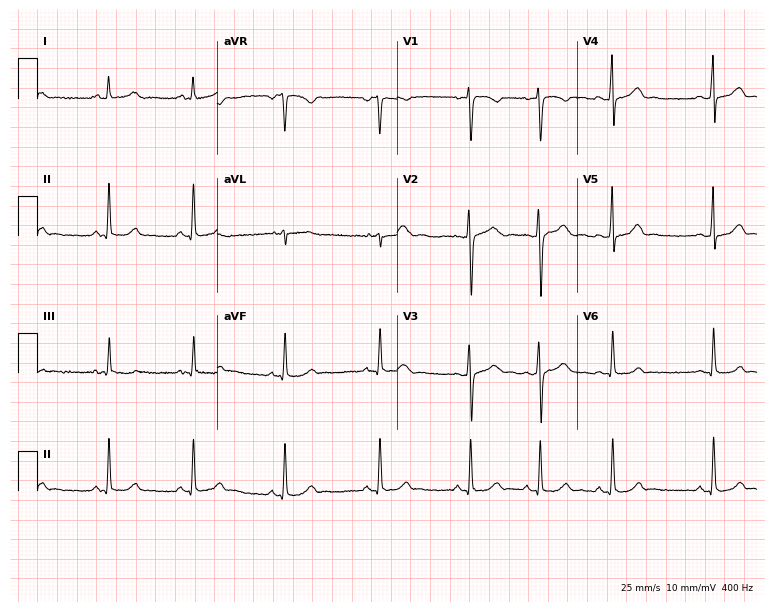
12-lead ECG (7.3-second recording at 400 Hz) from a female patient, 17 years old. Labelled as a normal ECG.